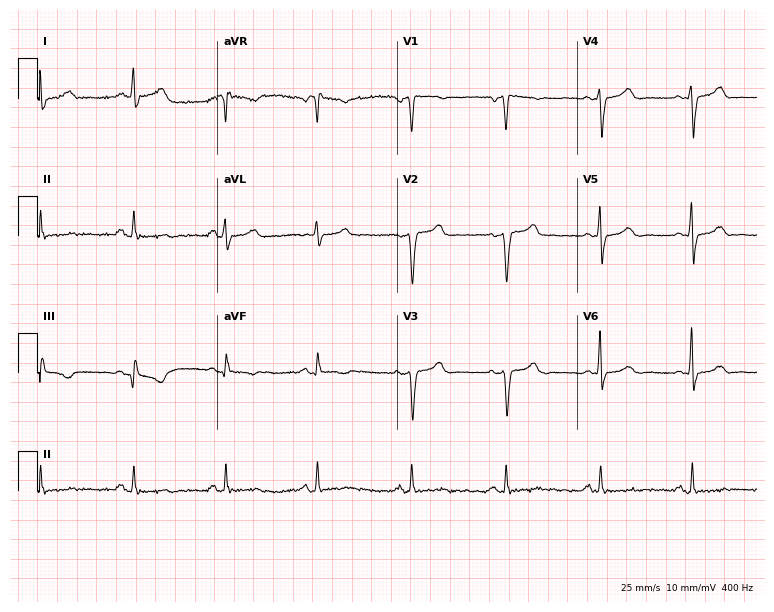
Resting 12-lead electrocardiogram. Patient: a female, 61 years old. Read as a normal ECG.